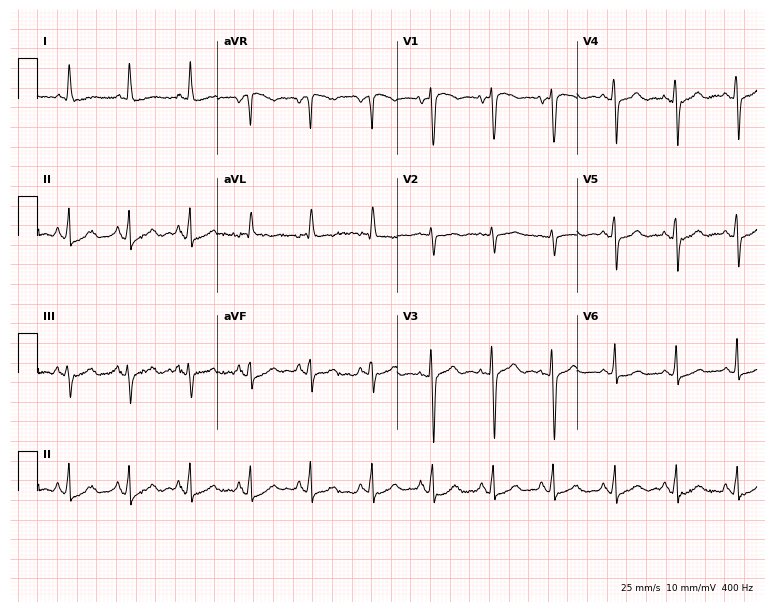
Standard 12-lead ECG recorded from a 79-year-old female patient. Read as a normal ECG.